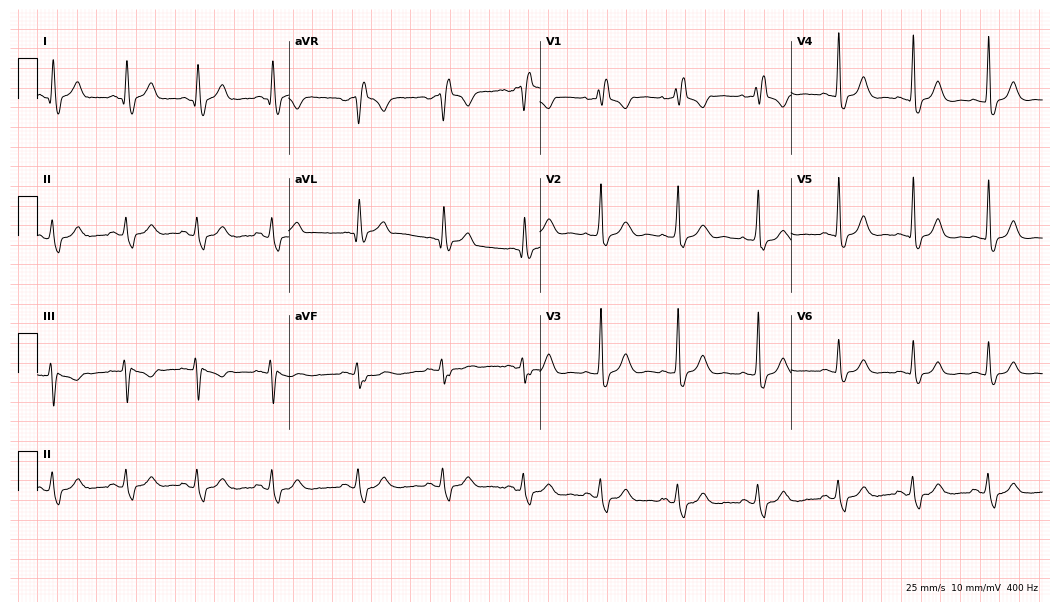
12-lead ECG from a 38-year-old woman. Shows right bundle branch block (RBBB).